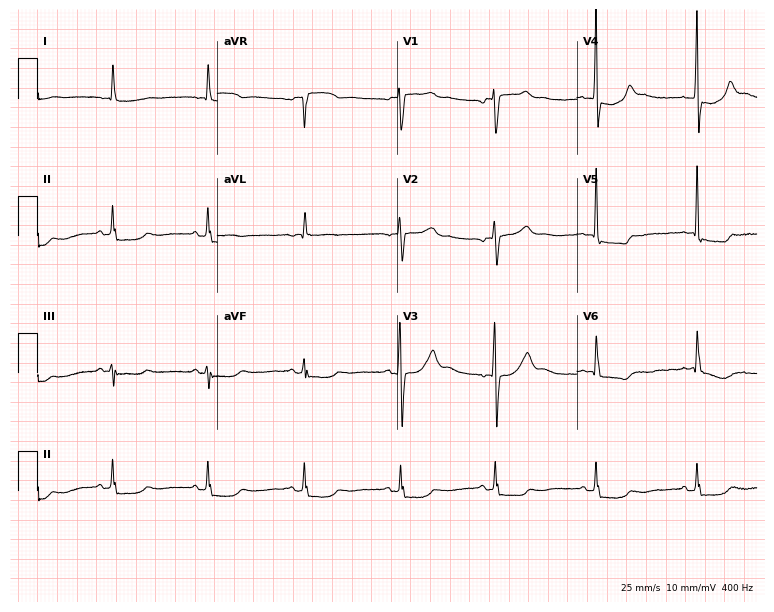
Electrocardiogram (7.3-second recording at 400 Hz), a female patient, 80 years old. Of the six screened findings (first-degree AV block, right bundle branch block (RBBB), left bundle branch block (LBBB), sinus bradycardia, atrial fibrillation (AF), sinus tachycardia), none is recorded.